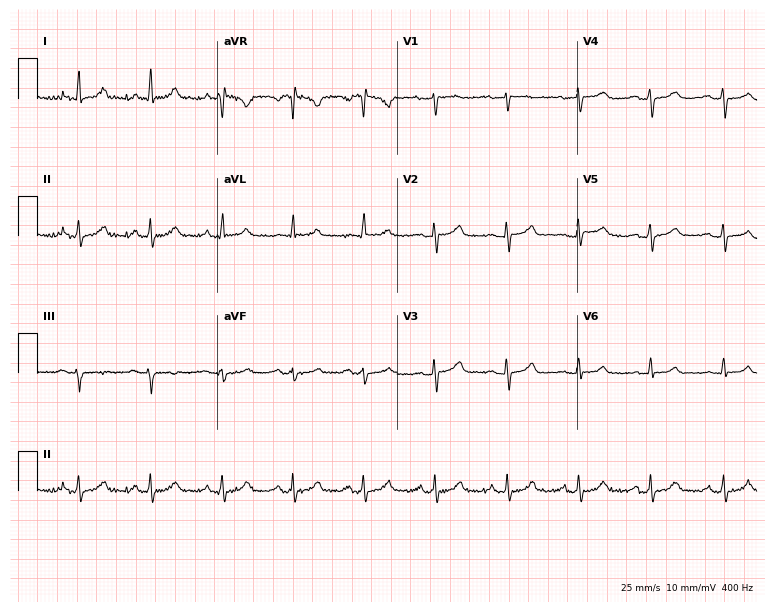
ECG — a female, 39 years old. Screened for six findings — first-degree AV block, right bundle branch block, left bundle branch block, sinus bradycardia, atrial fibrillation, sinus tachycardia — none is recorded.